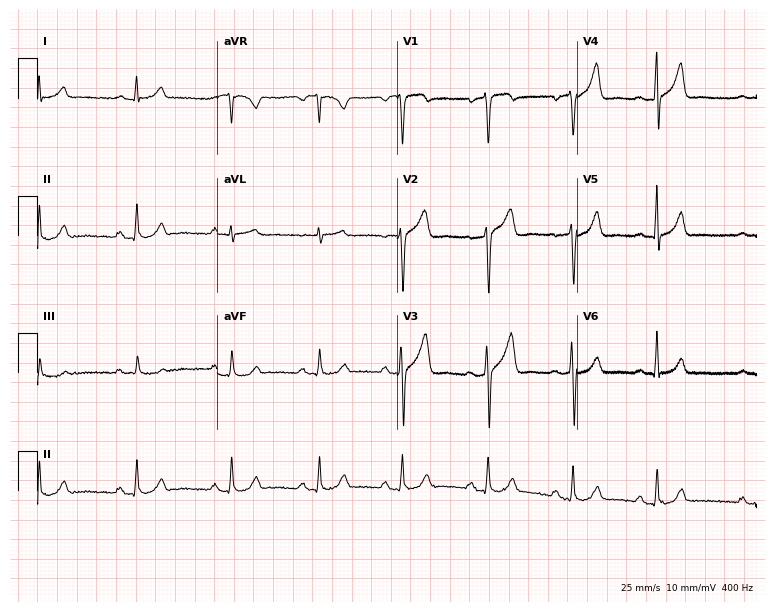
ECG — a male patient, 50 years old. Labelled as a normal ECG.